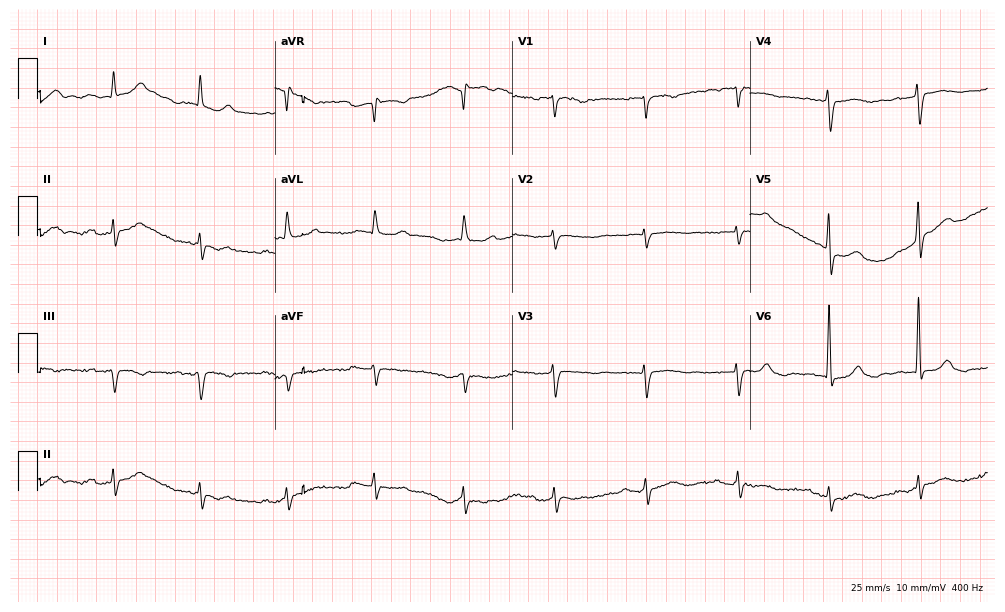
12-lead ECG (9.7-second recording at 400 Hz) from a male, 82 years old. Screened for six findings — first-degree AV block, right bundle branch block, left bundle branch block, sinus bradycardia, atrial fibrillation, sinus tachycardia — none is recorded. Only these six findings were labelled.